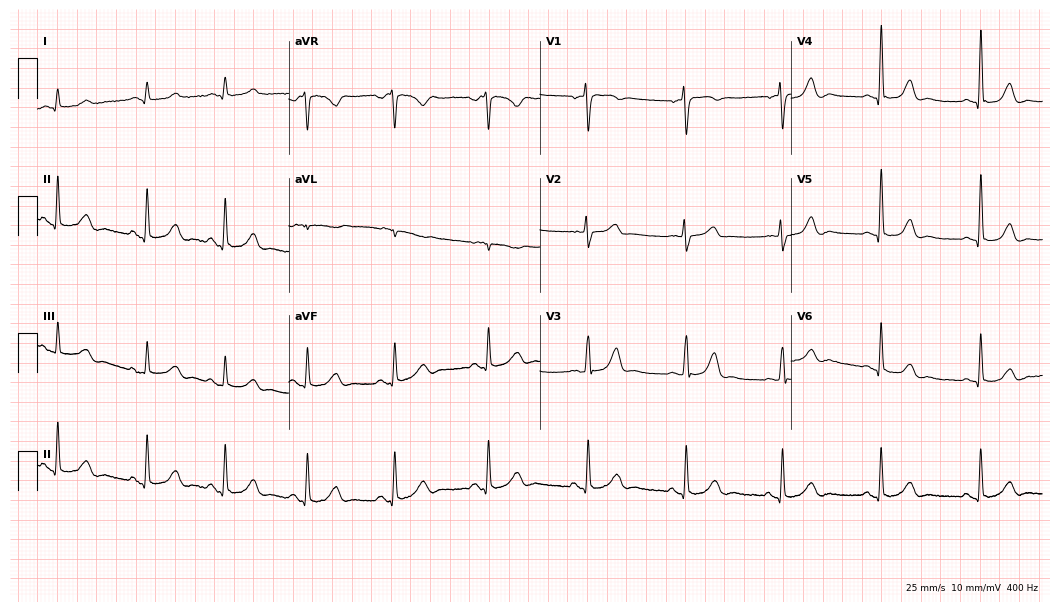
Resting 12-lead electrocardiogram. Patient: a male, 44 years old. Read as a normal ECG.